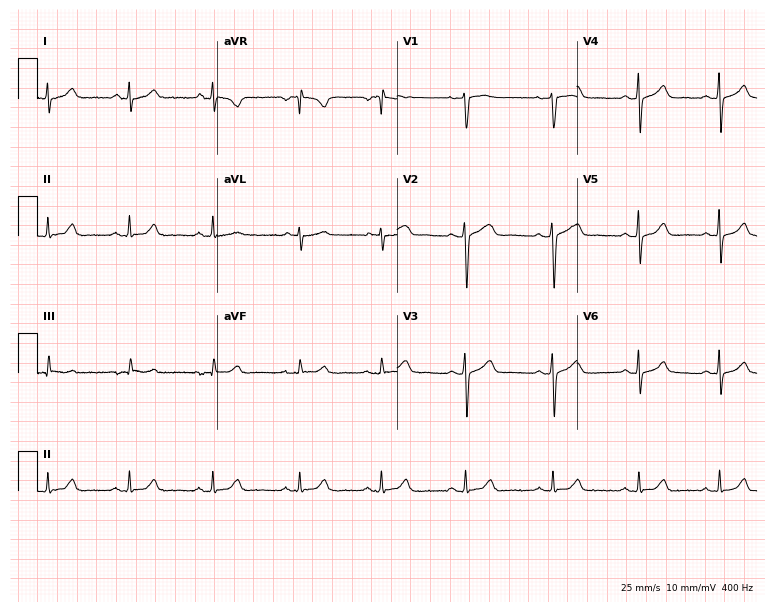
Standard 12-lead ECG recorded from a 39-year-old woman. None of these six findings is recorded: first-degree AV block, right bundle branch block (RBBB), left bundle branch block (LBBB), sinus bradycardia, atrial fibrillation (AF), sinus tachycardia. Findings outside these six are not listed.